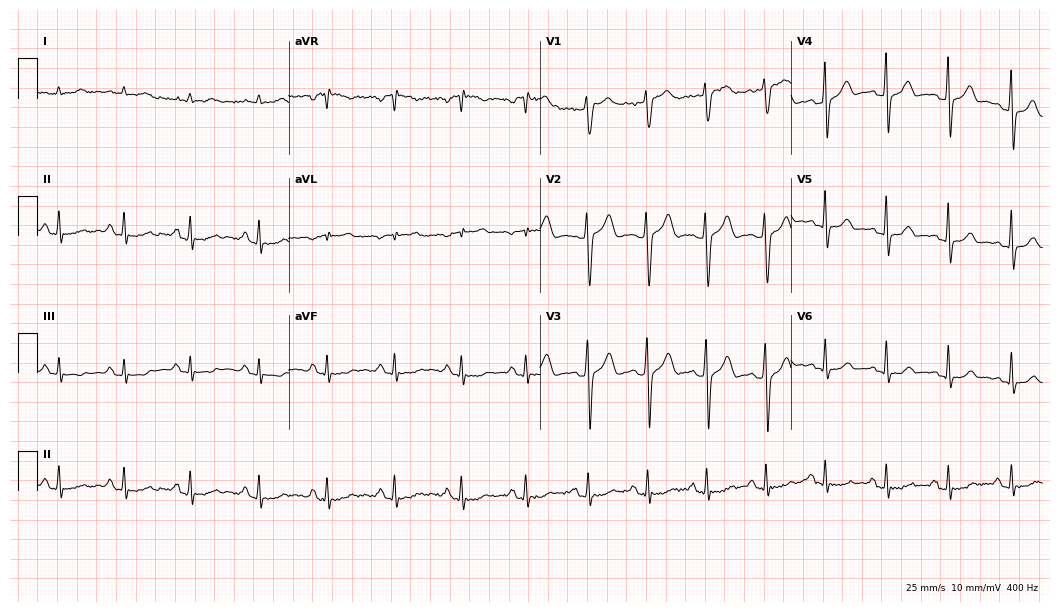
12-lead ECG (10.2-second recording at 400 Hz) from a 38-year-old male. Labelled as a normal ECG.